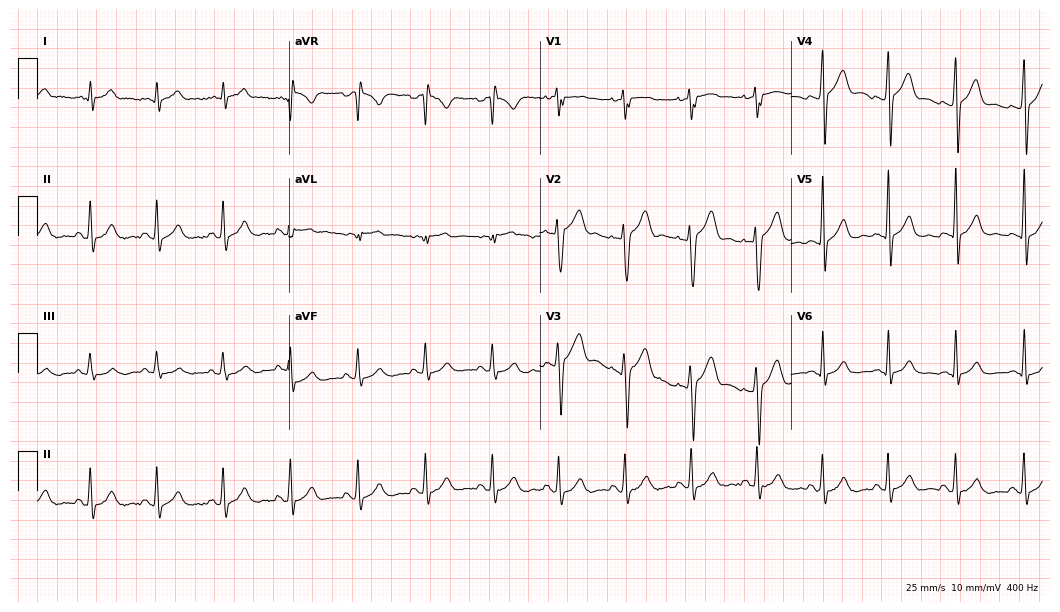
Electrocardiogram, a 17-year-old man. Overall reading on record: normal ECG.